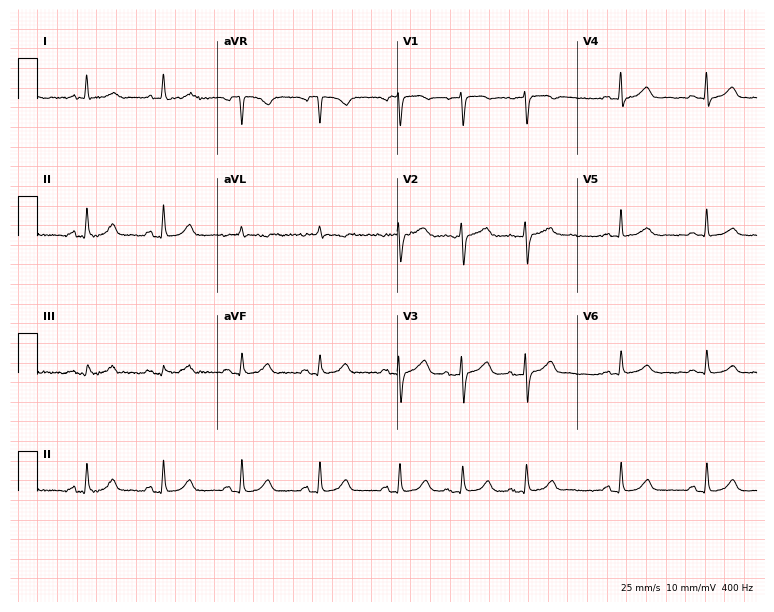
Standard 12-lead ECG recorded from a woman, 66 years old. Read as a normal ECG.